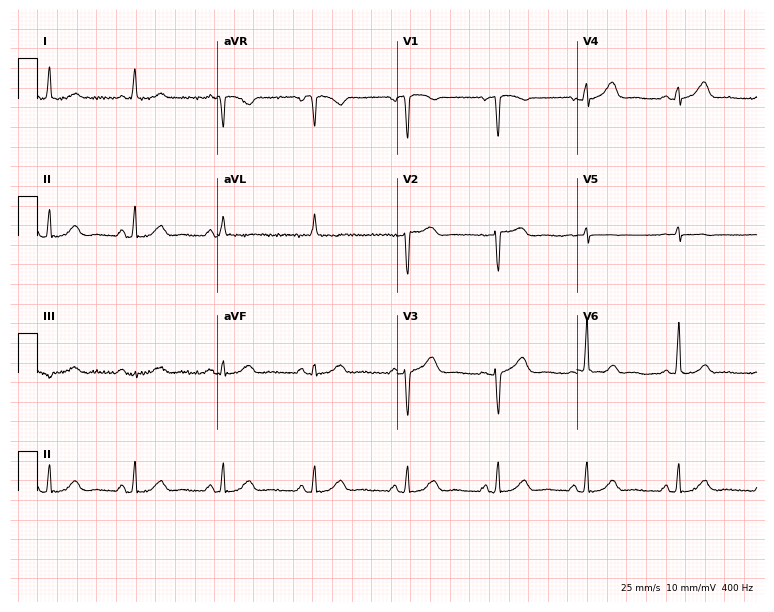
12-lead ECG (7.3-second recording at 400 Hz) from a woman, 60 years old. Screened for six findings — first-degree AV block, right bundle branch block, left bundle branch block, sinus bradycardia, atrial fibrillation, sinus tachycardia — none is recorded. Other findings, if any, are not listed.